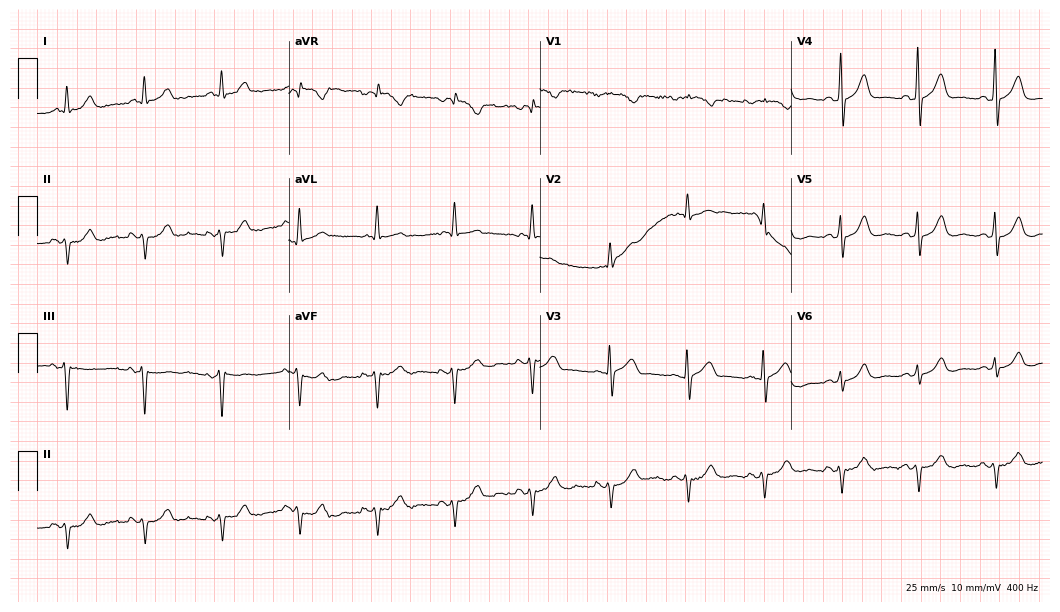
Standard 12-lead ECG recorded from a male, 73 years old. None of these six findings is recorded: first-degree AV block, right bundle branch block, left bundle branch block, sinus bradycardia, atrial fibrillation, sinus tachycardia.